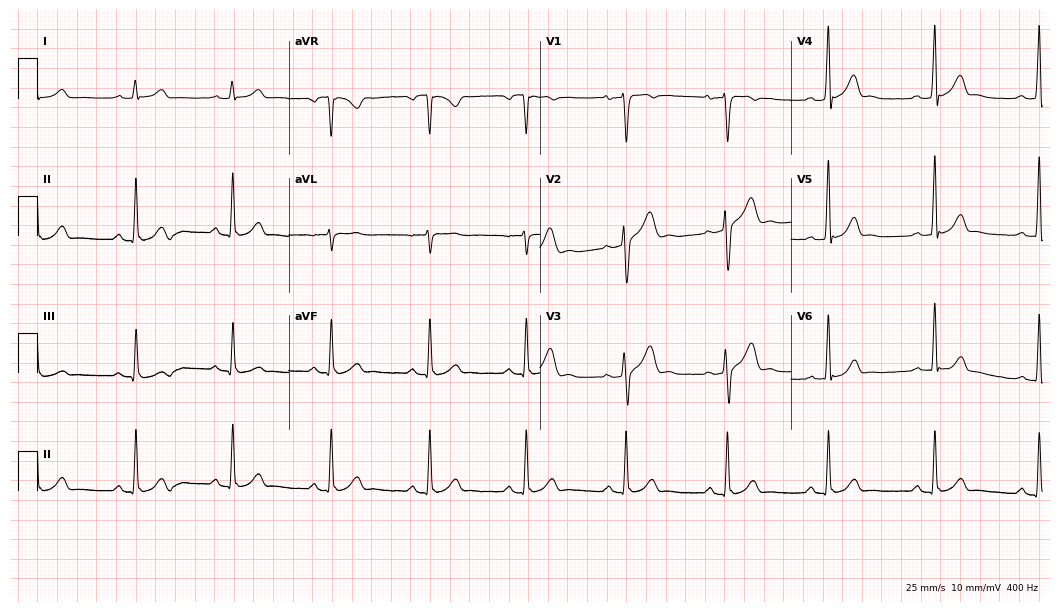
Resting 12-lead electrocardiogram. Patient: a male, 35 years old. None of these six findings is recorded: first-degree AV block, right bundle branch block, left bundle branch block, sinus bradycardia, atrial fibrillation, sinus tachycardia.